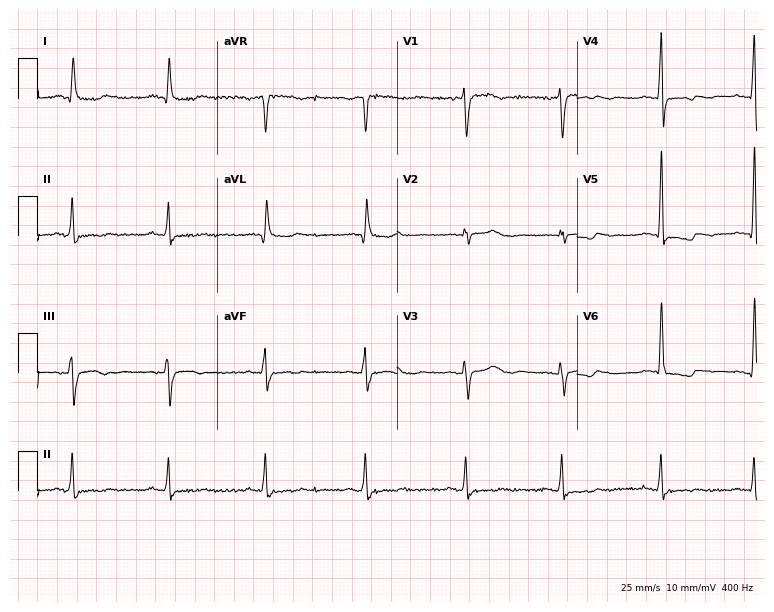
12-lead ECG (7.3-second recording at 400 Hz) from an 83-year-old female patient. Screened for six findings — first-degree AV block, right bundle branch block, left bundle branch block, sinus bradycardia, atrial fibrillation, sinus tachycardia — none is recorded. Only these six findings were labelled.